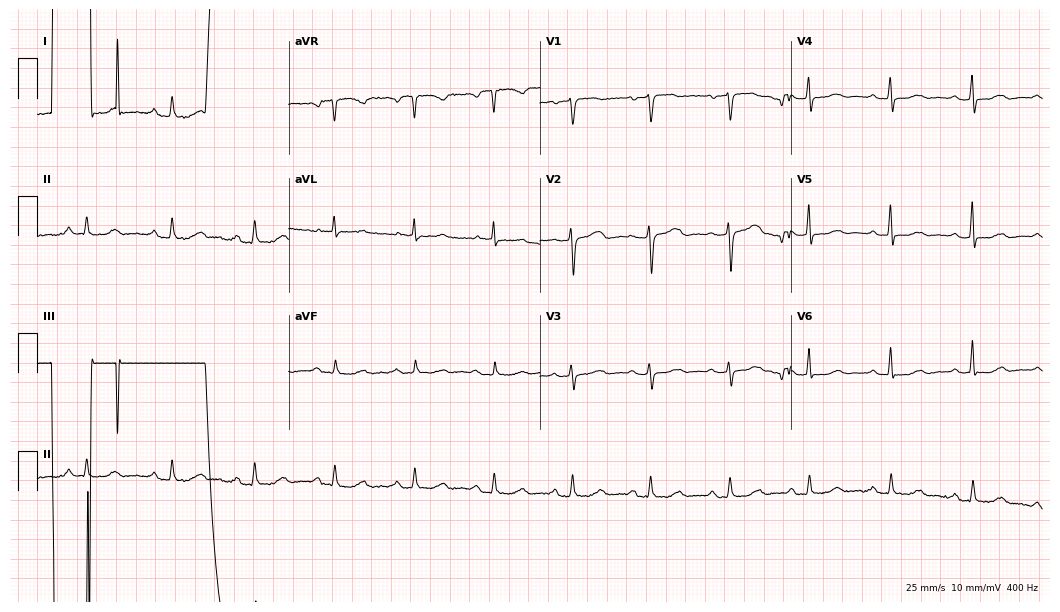
Resting 12-lead electrocardiogram (10.2-second recording at 400 Hz). Patient: a 58-year-old female. None of these six findings is recorded: first-degree AV block, right bundle branch block, left bundle branch block, sinus bradycardia, atrial fibrillation, sinus tachycardia.